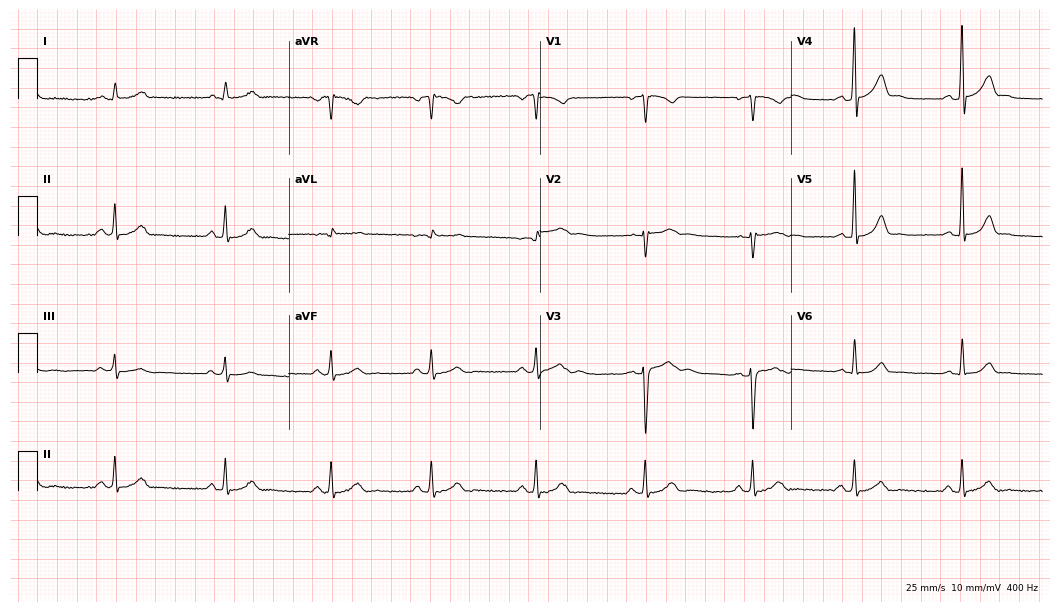
Electrocardiogram, a 24-year-old male patient. Overall reading on record: normal ECG.